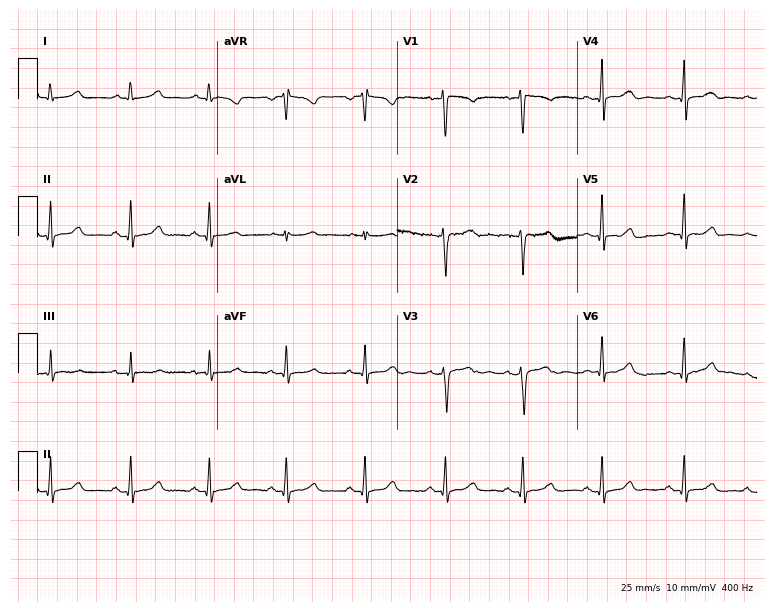
12-lead ECG from a 50-year-old female. Screened for six findings — first-degree AV block, right bundle branch block, left bundle branch block, sinus bradycardia, atrial fibrillation, sinus tachycardia — none is recorded.